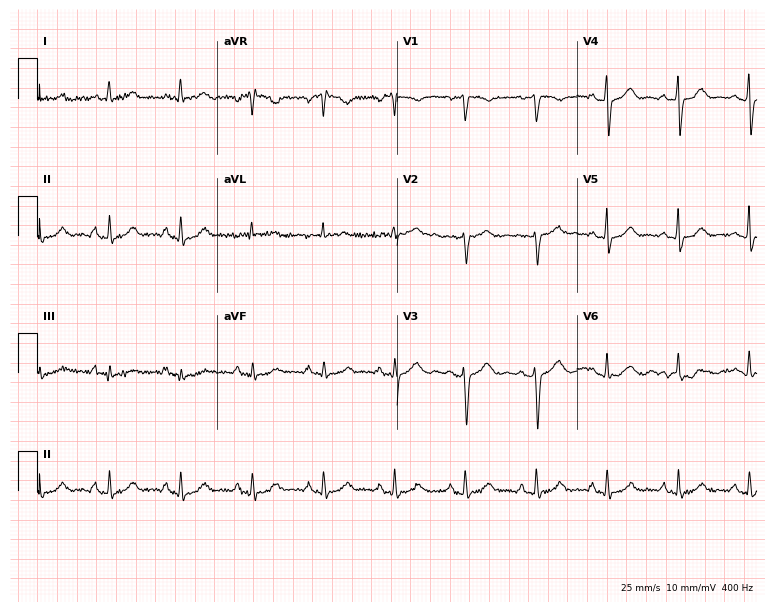
12-lead ECG (7.3-second recording at 400 Hz) from a 60-year-old female. Labelled as a normal ECG.